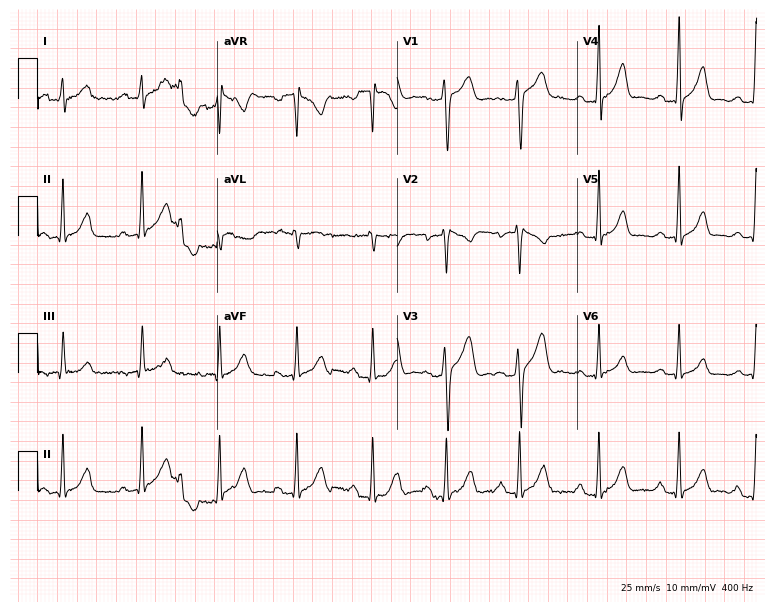
ECG — a 32-year-old male patient. Labelled as a normal ECG.